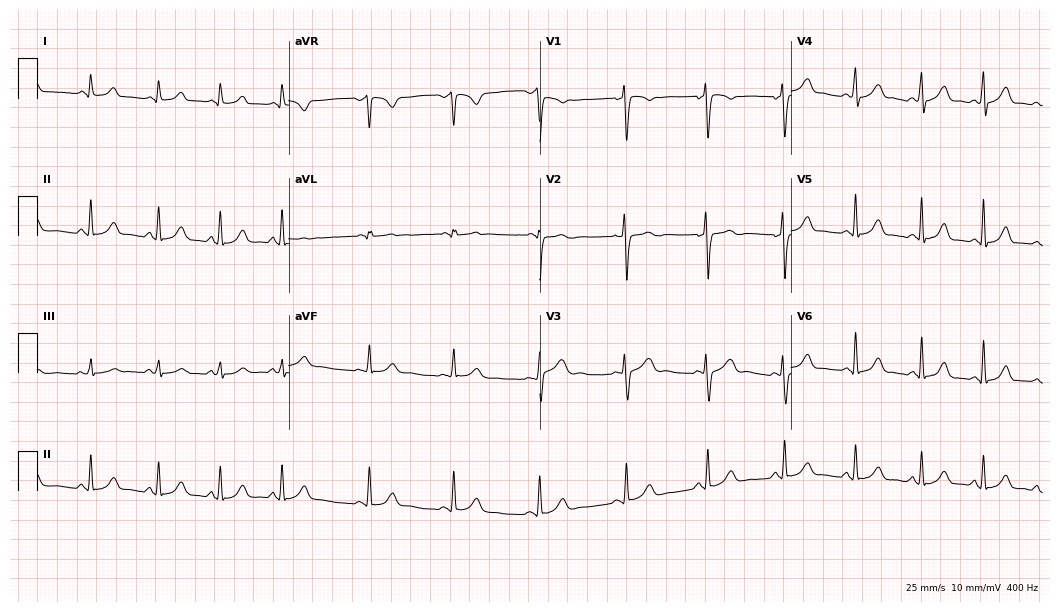
12-lead ECG from a 23-year-old woman. Labelled as a normal ECG.